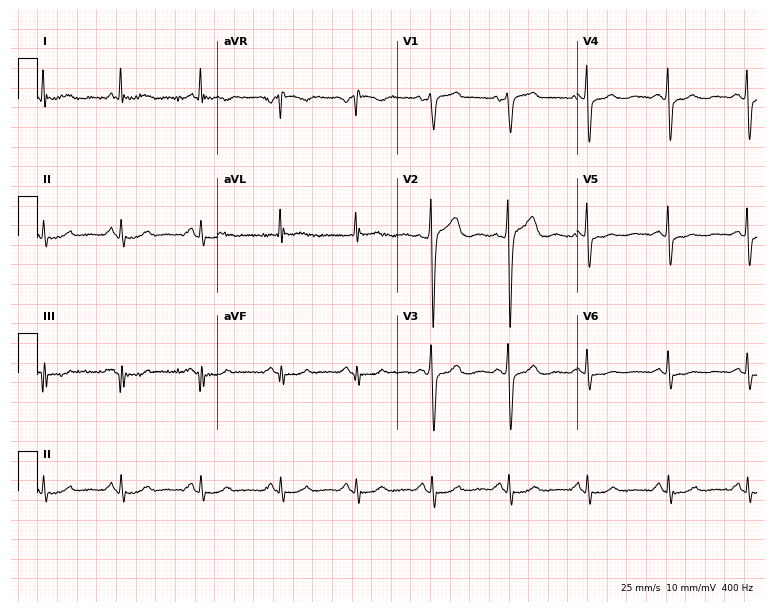
Standard 12-lead ECG recorded from a male, 55 years old. None of these six findings is recorded: first-degree AV block, right bundle branch block, left bundle branch block, sinus bradycardia, atrial fibrillation, sinus tachycardia. Findings outside these six are not listed.